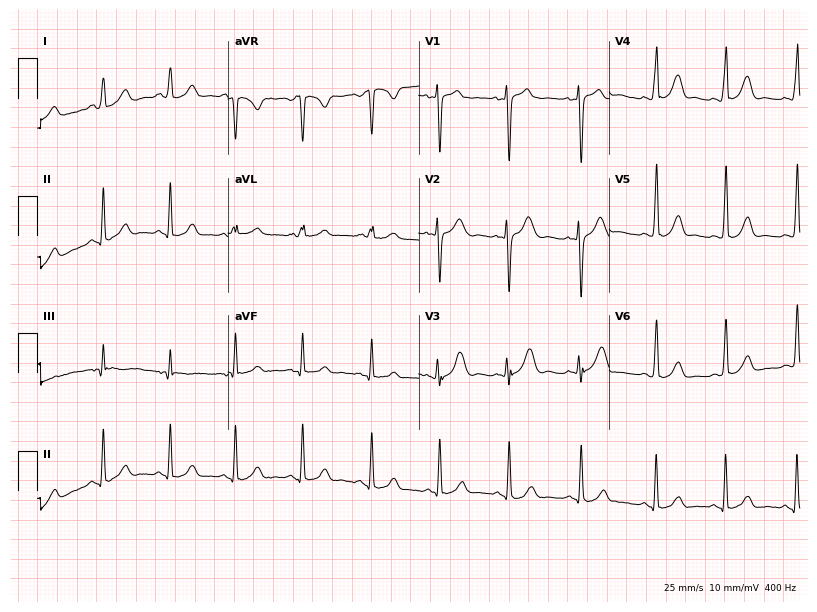
ECG — a 27-year-old female. Screened for six findings — first-degree AV block, right bundle branch block, left bundle branch block, sinus bradycardia, atrial fibrillation, sinus tachycardia — none is recorded.